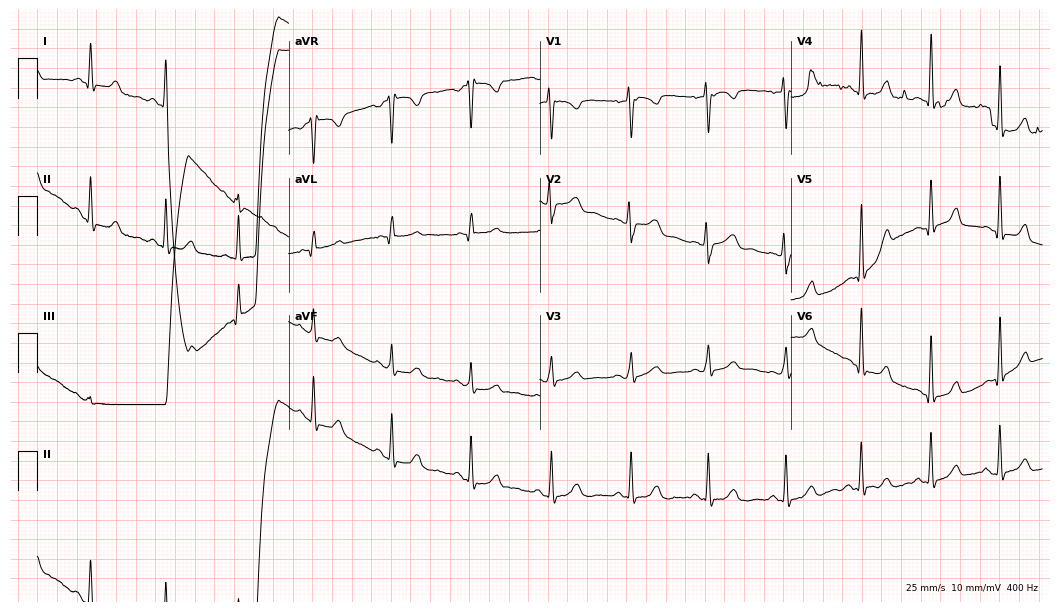
Electrocardiogram, a female patient, 24 years old. Overall reading on record: normal ECG.